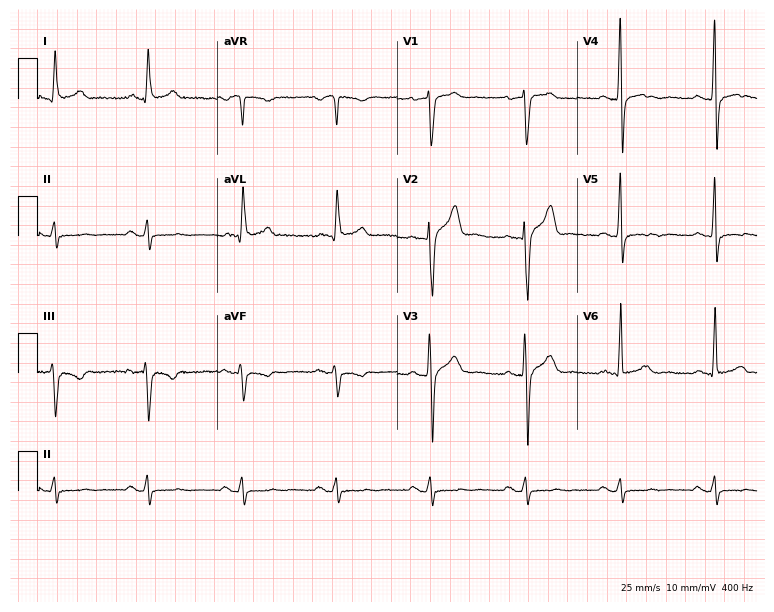
12-lead ECG from a man, 58 years old. No first-degree AV block, right bundle branch block (RBBB), left bundle branch block (LBBB), sinus bradycardia, atrial fibrillation (AF) or sinus tachycardia recorded for this tracing. Other findings, if any, are not listed.